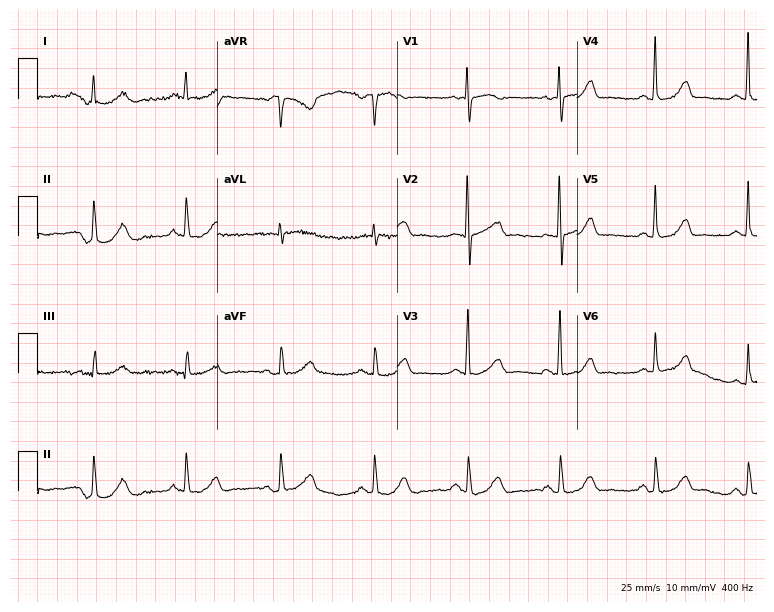
Resting 12-lead electrocardiogram. Patient: a female, 48 years old. Read as a normal ECG.